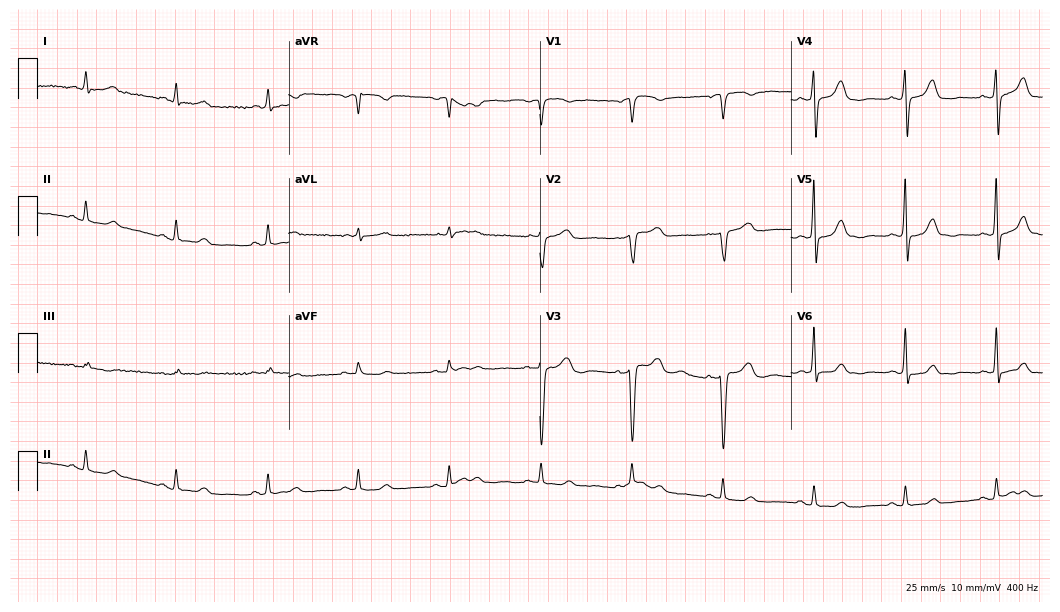
12-lead ECG from a 74-year-old female patient. Screened for six findings — first-degree AV block, right bundle branch block, left bundle branch block, sinus bradycardia, atrial fibrillation, sinus tachycardia — none is recorded.